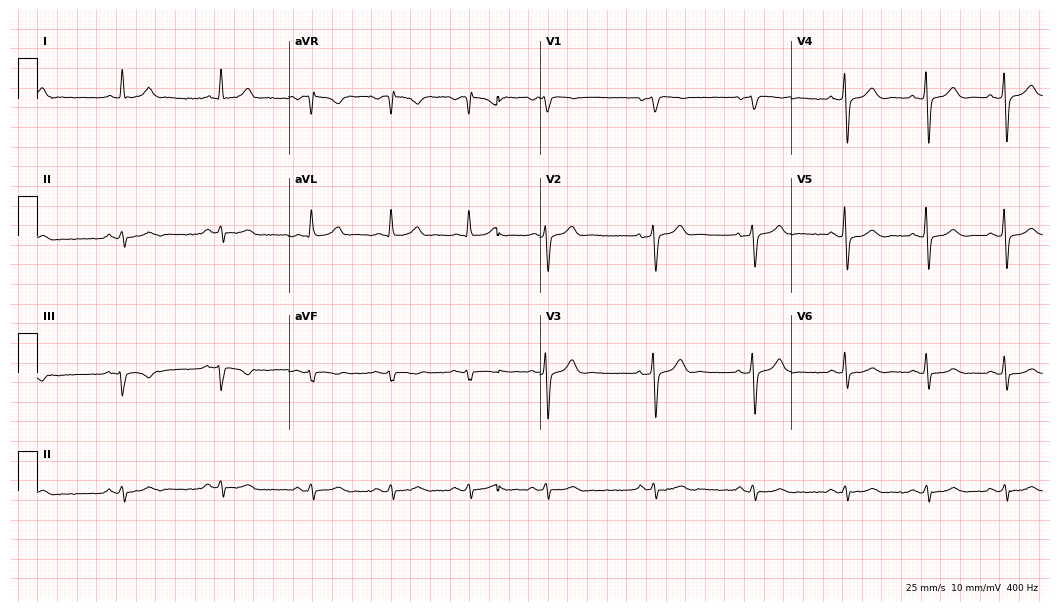
Electrocardiogram, a man, 82 years old. Of the six screened findings (first-degree AV block, right bundle branch block, left bundle branch block, sinus bradycardia, atrial fibrillation, sinus tachycardia), none is recorded. Only these six findings were labelled.